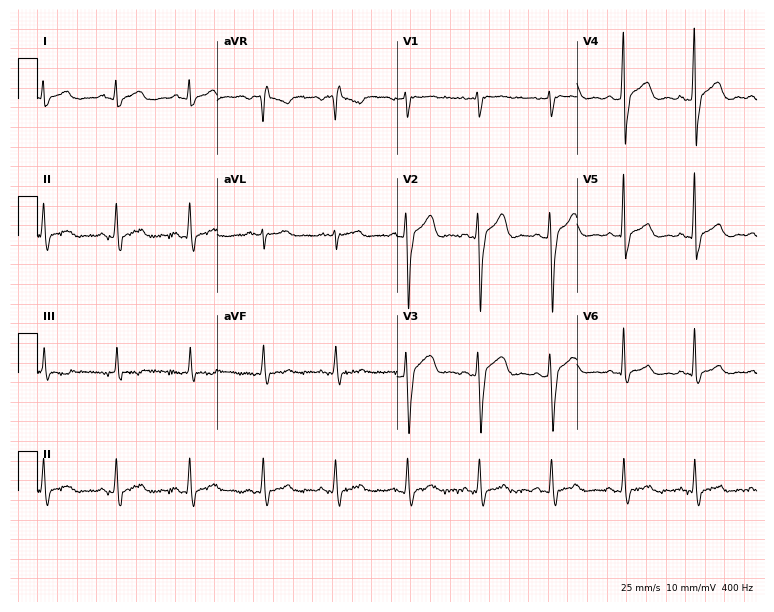
12-lead ECG from a 44-year-old man. Screened for six findings — first-degree AV block, right bundle branch block (RBBB), left bundle branch block (LBBB), sinus bradycardia, atrial fibrillation (AF), sinus tachycardia — none is recorded. Other findings, if any, are not listed.